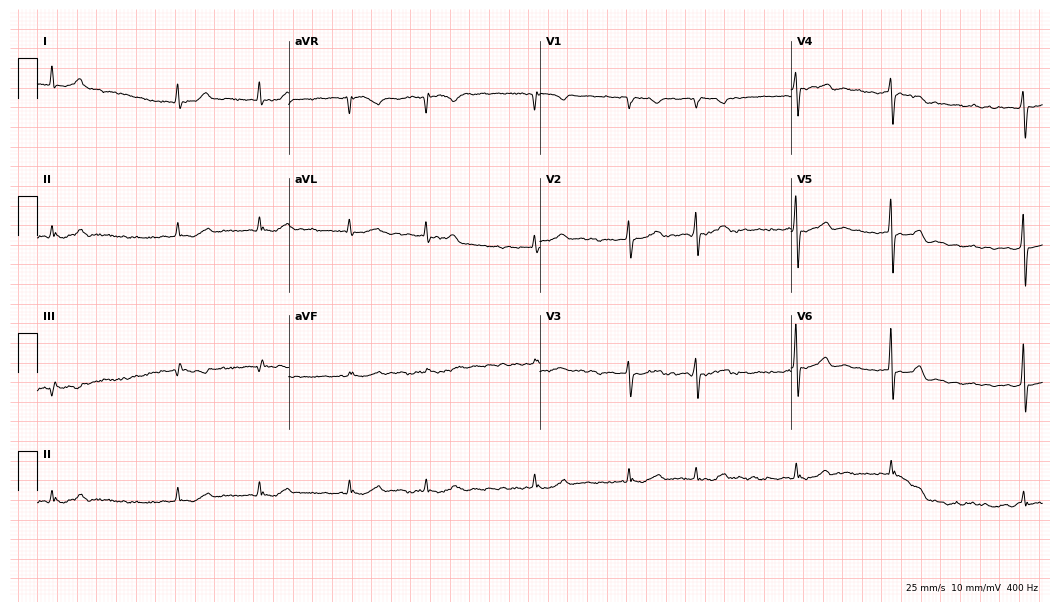
Standard 12-lead ECG recorded from a female, 79 years old (10.2-second recording at 400 Hz). None of these six findings is recorded: first-degree AV block, right bundle branch block, left bundle branch block, sinus bradycardia, atrial fibrillation, sinus tachycardia.